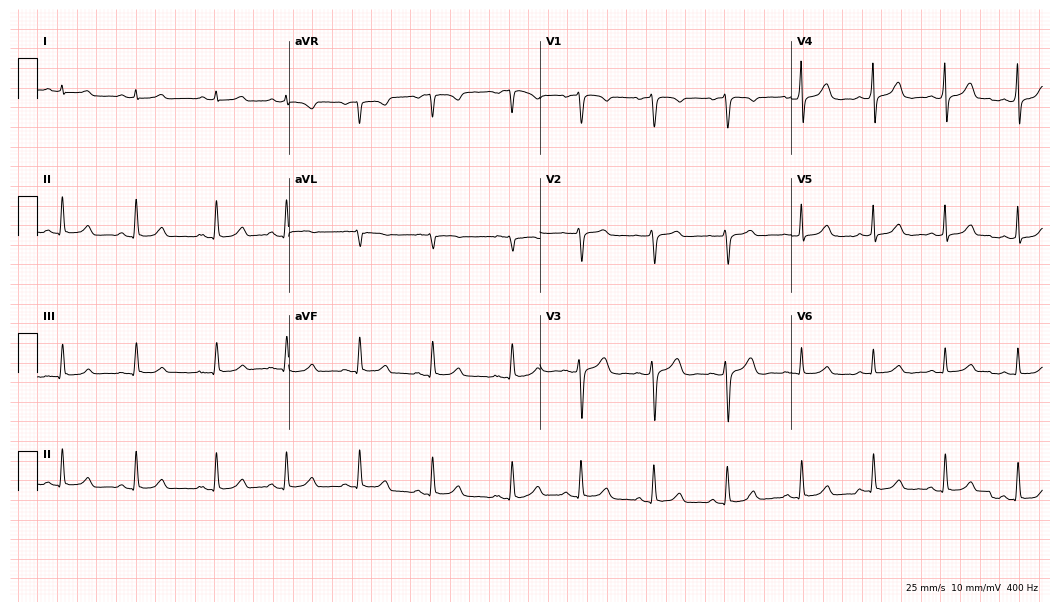
Standard 12-lead ECG recorded from a 46-year-old female (10.2-second recording at 400 Hz). Read as a normal ECG.